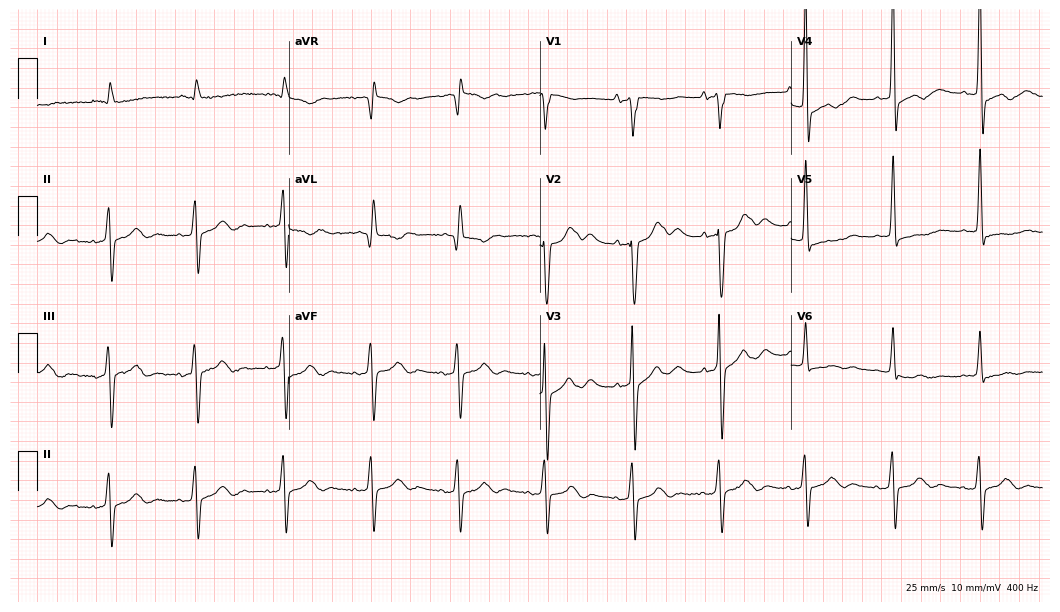
Standard 12-lead ECG recorded from a 79-year-old man. None of these six findings is recorded: first-degree AV block, right bundle branch block (RBBB), left bundle branch block (LBBB), sinus bradycardia, atrial fibrillation (AF), sinus tachycardia.